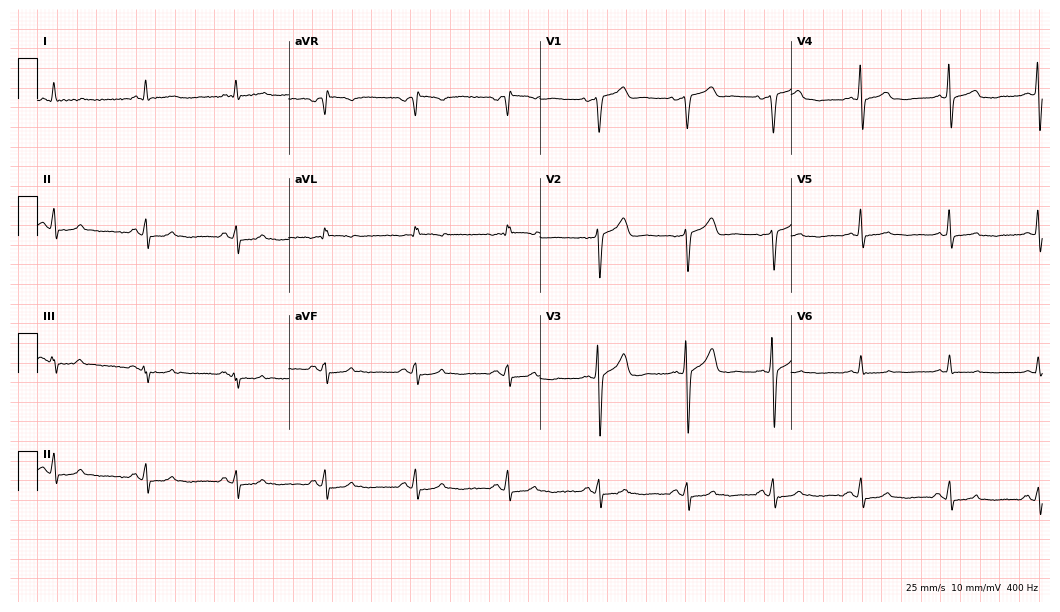
ECG (10.2-second recording at 400 Hz) — a 61-year-old male. Labelled as a normal ECG.